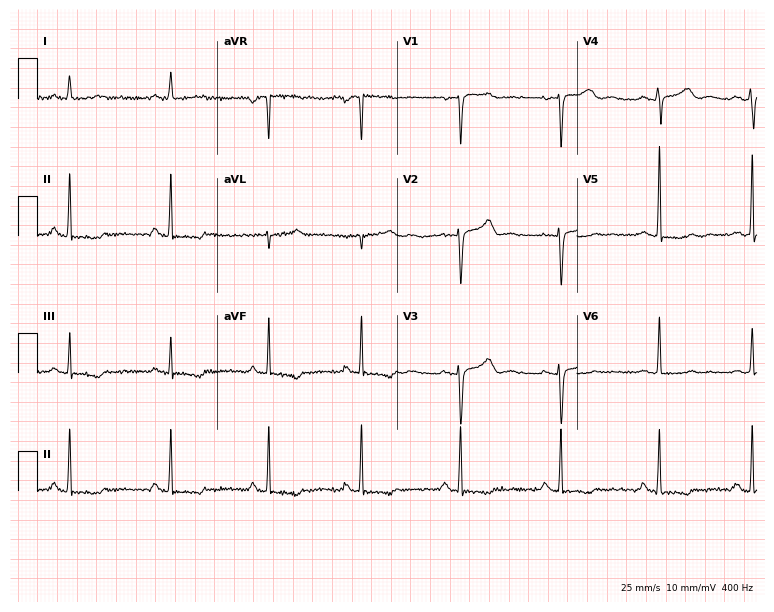
12-lead ECG from a 57-year-old female patient (7.3-second recording at 400 Hz). No first-degree AV block, right bundle branch block, left bundle branch block, sinus bradycardia, atrial fibrillation or sinus tachycardia recorded for this tracing.